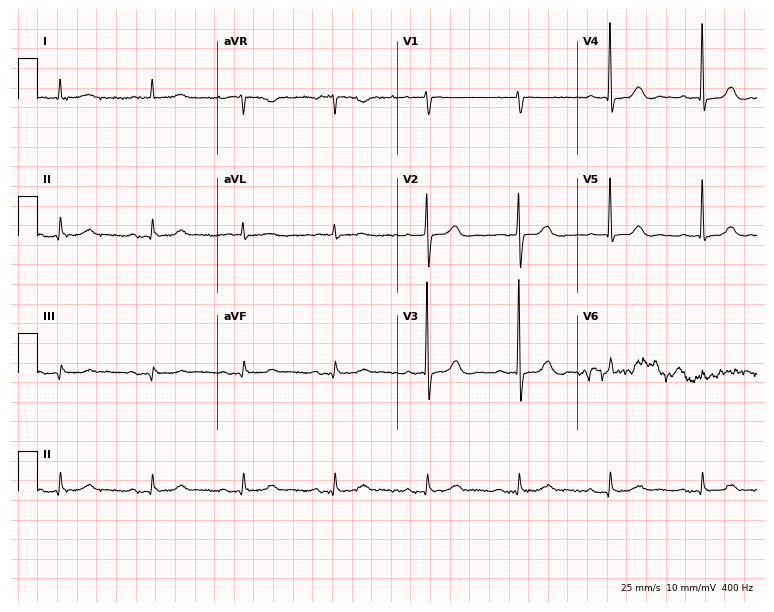
12-lead ECG from a 79-year-old male patient. Screened for six findings — first-degree AV block, right bundle branch block, left bundle branch block, sinus bradycardia, atrial fibrillation, sinus tachycardia — none is recorded. Other findings, if any, are not listed.